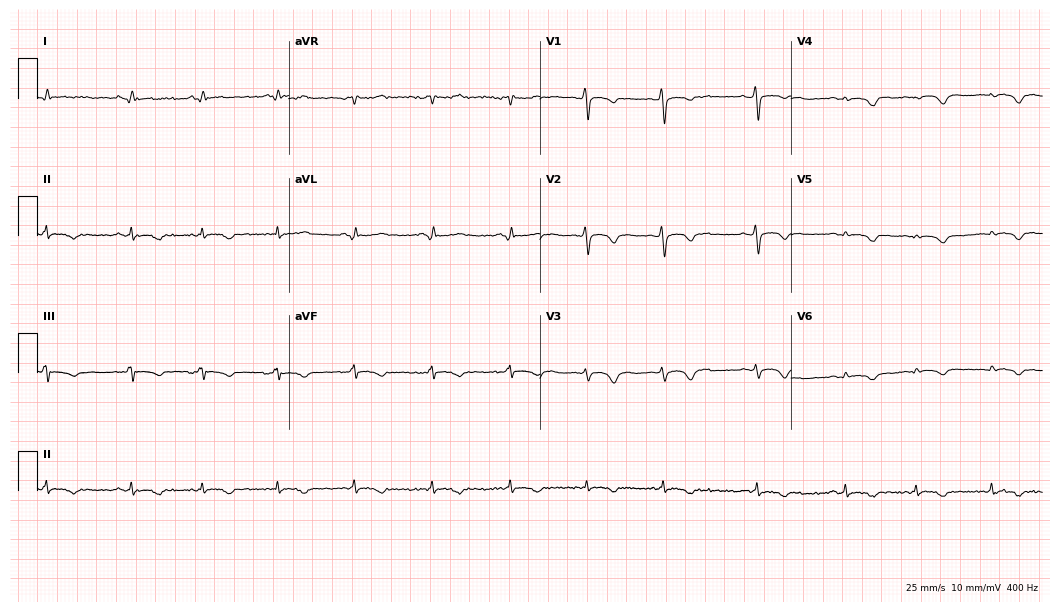
ECG (10.2-second recording at 400 Hz) — a 45-year-old woman. Screened for six findings — first-degree AV block, right bundle branch block, left bundle branch block, sinus bradycardia, atrial fibrillation, sinus tachycardia — none is recorded. Other findings, if any, are not listed.